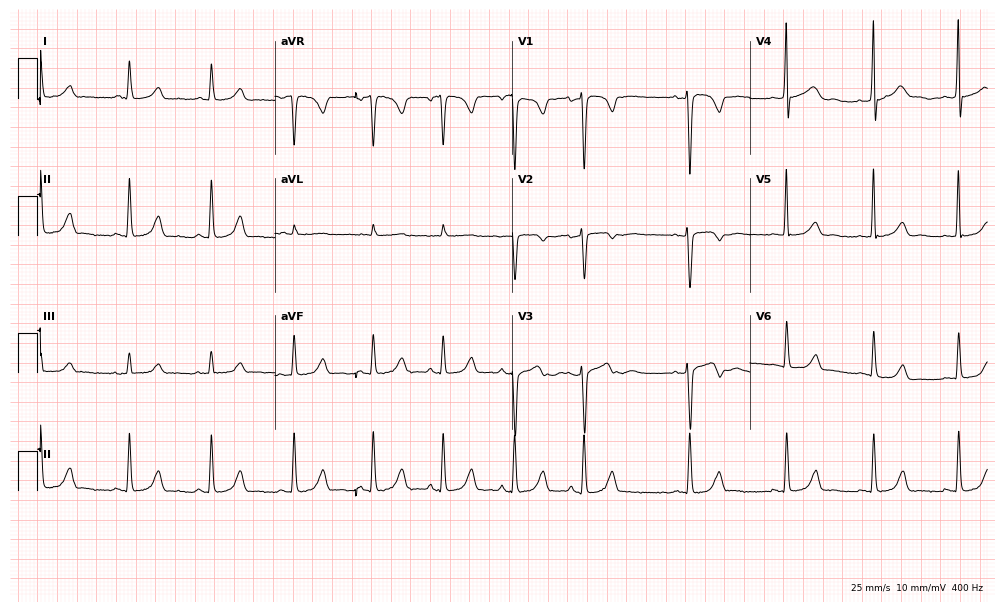
12-lead ECG from a 24-year-old female patient. Labelled as a normal ECG.